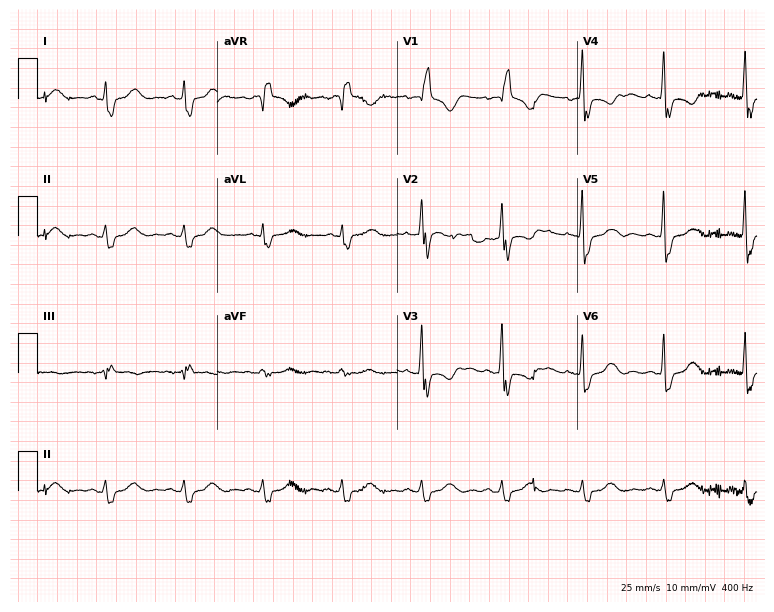
12-lead ECG from a female patient, 47 years old (7.3-second recording at 400 Hz). No first-degree AV block, right bundle branch block, left bundle branch block, sinus bradycardia, atrial fibrillation or sinus tachycardia recorded for this tracing. Only these six findings were labelled.